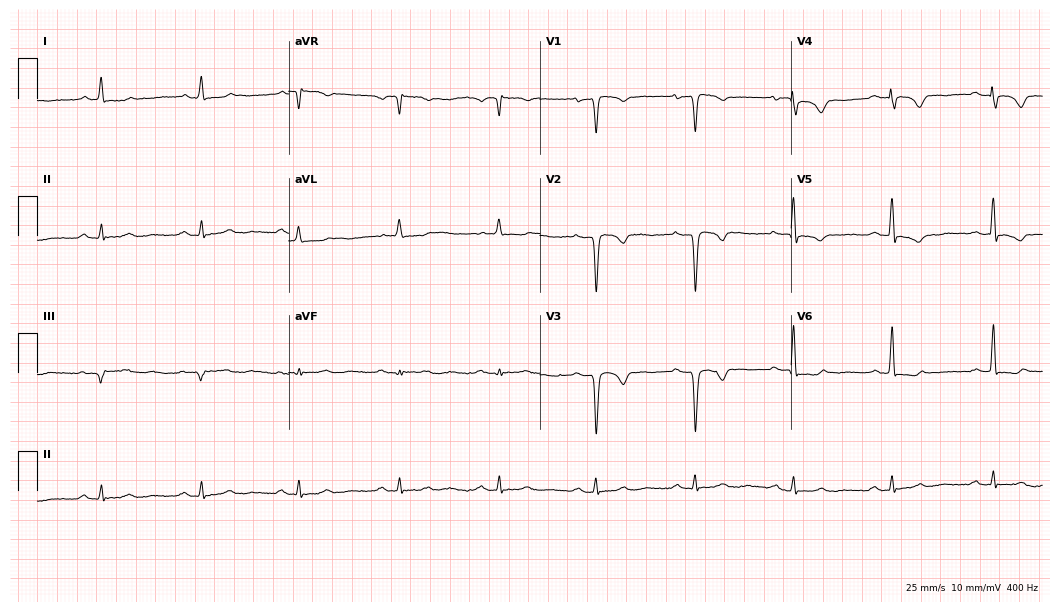
12-lead ECG (10.2-second recording at 400 Hz) from a woman, 48 years old. Screened for six findings — first-degree AV block, right bundle branch block (RBBB), left bundle branch block (LBBB), sinus bradycardia, atrial fibrillation (AF), sinus tachycardia — none is recorded. Findings outside these six are not listed.